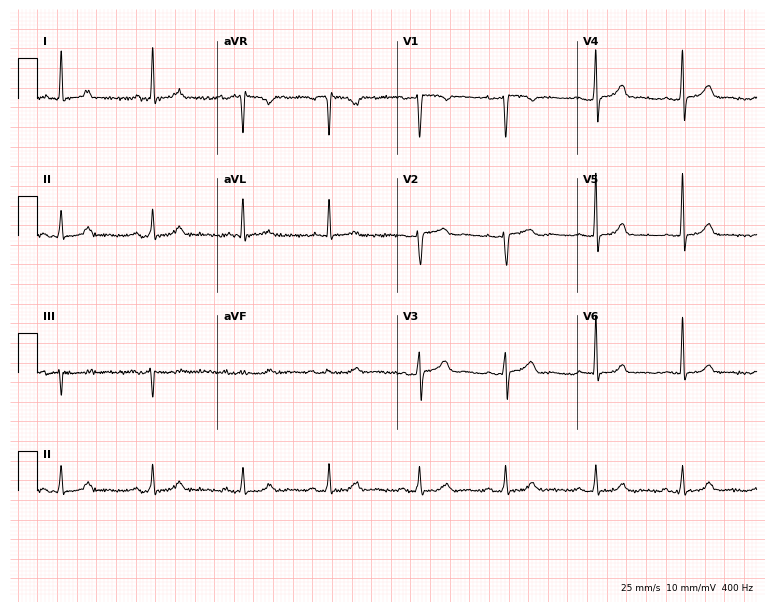
Electrocardiogram, a 44-year-old woman. Of the six screened findings (first-degree AV block, right bundle branch block, left bundle branch block, sinus bradycardia, atrial fibrillation, sinus tachycardia), none is recorded.